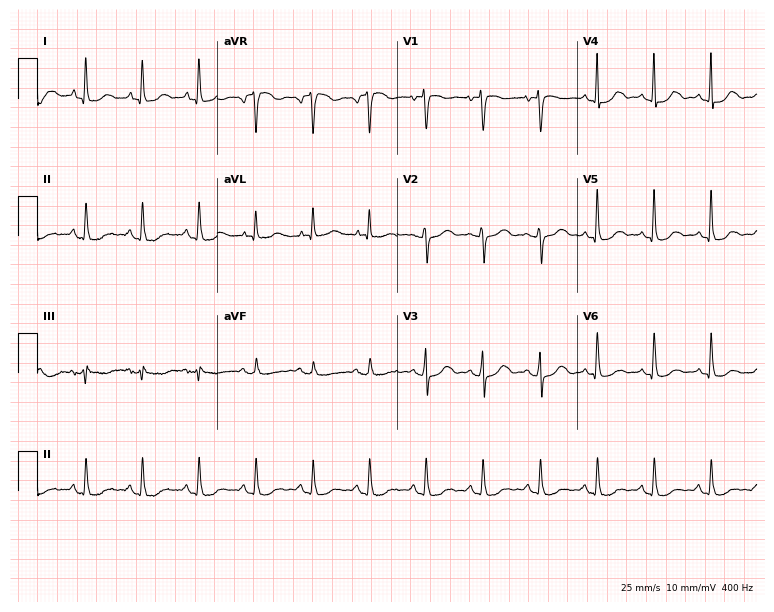
Resting 12-lead electrocardiogram (7.3-second recording at 400 Hz). Patient: a female, 70 years old. Read as a normal ECG.